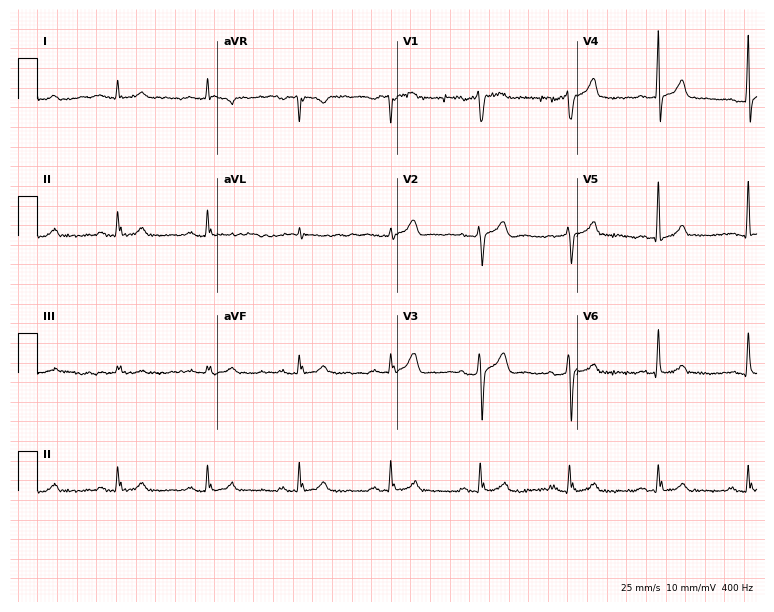
12-lead ECG (7.3-second recording at 400 Hz) from a 46-year-old male patient. Labelled as a normal ECG.